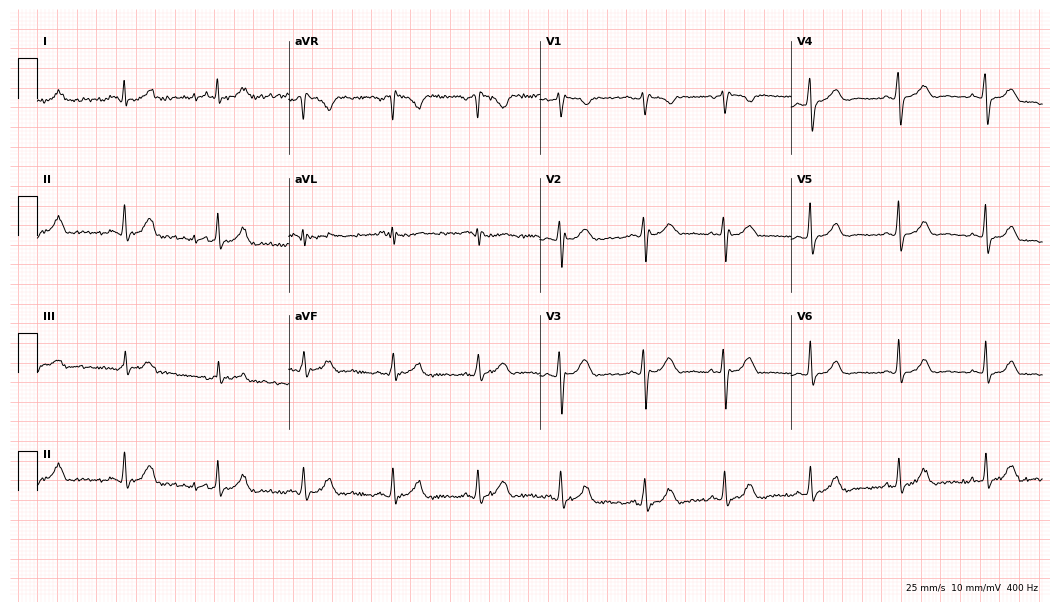
12-lead ECG from a female patient, 31 years old (10.2-second recording at 400 Hz). Recorded interpretation: within normal limits.